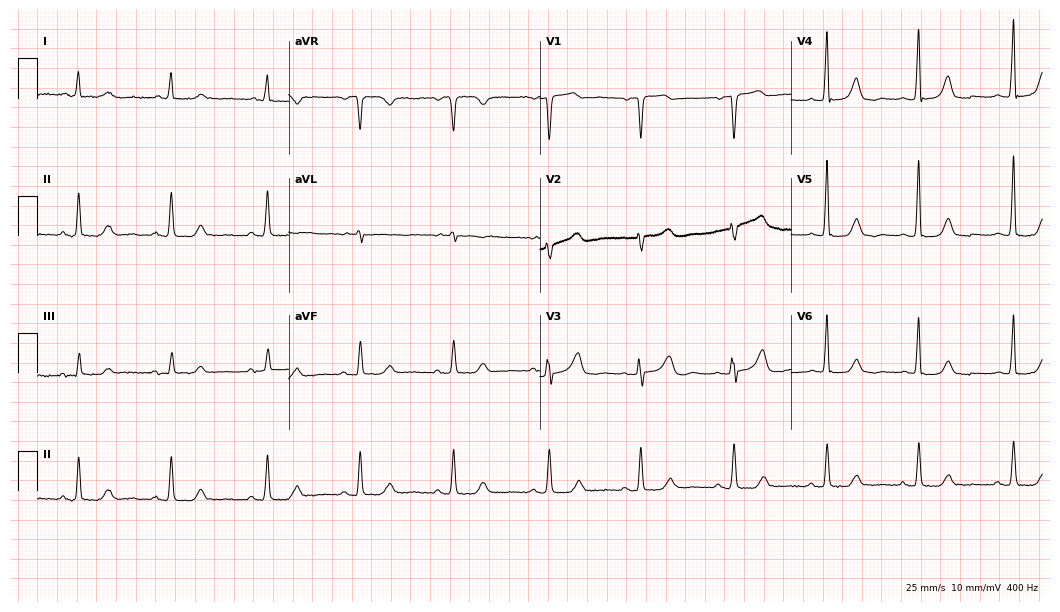
Standard 12-lead ECG recorded from a female, 78 years old (10.2-second recording at 400 Hz). Read as a normal ECG.